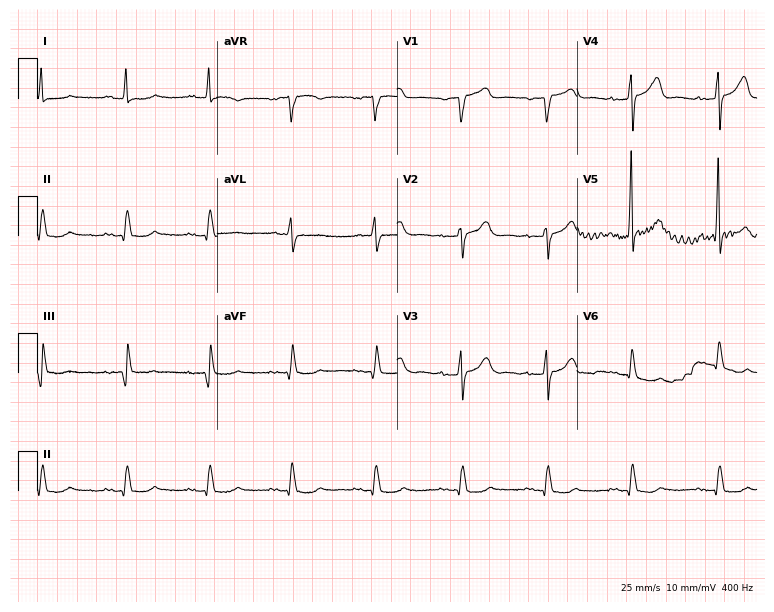
12-lead ECG from a man, 82 years old. No first-degree AV block, right bundle branch block (RBBB), left bundle branch block (LBBB), sinus bradycardia, atrial fibrillation (AF) or sinus tachycardia recorded for this tracing.